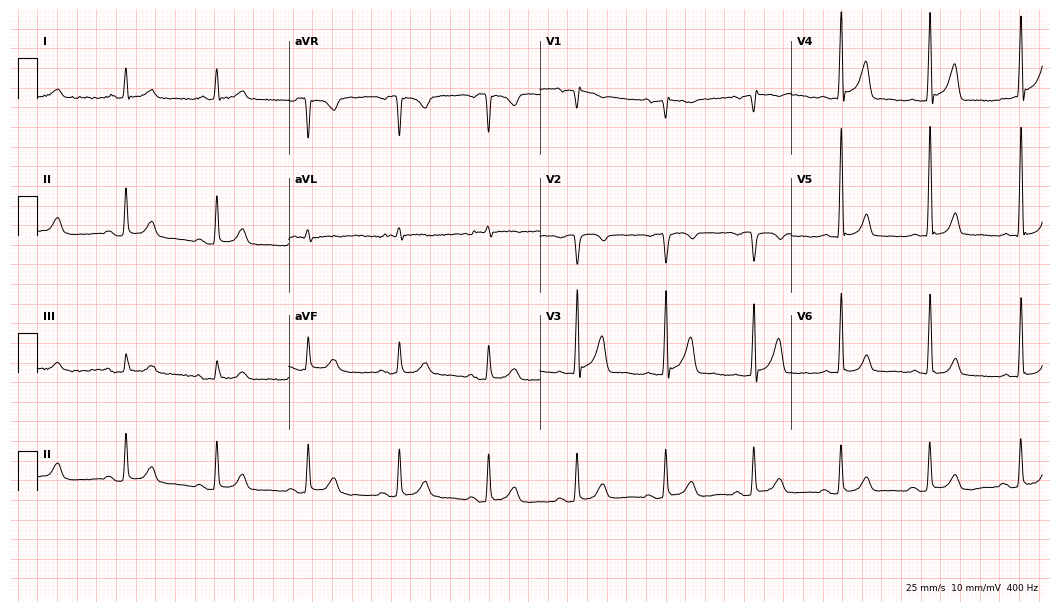
Standard 12-lead ECG recorded from a 59-year-old male (10.2-second recording at 400 Hz). Read as a normal ECG.